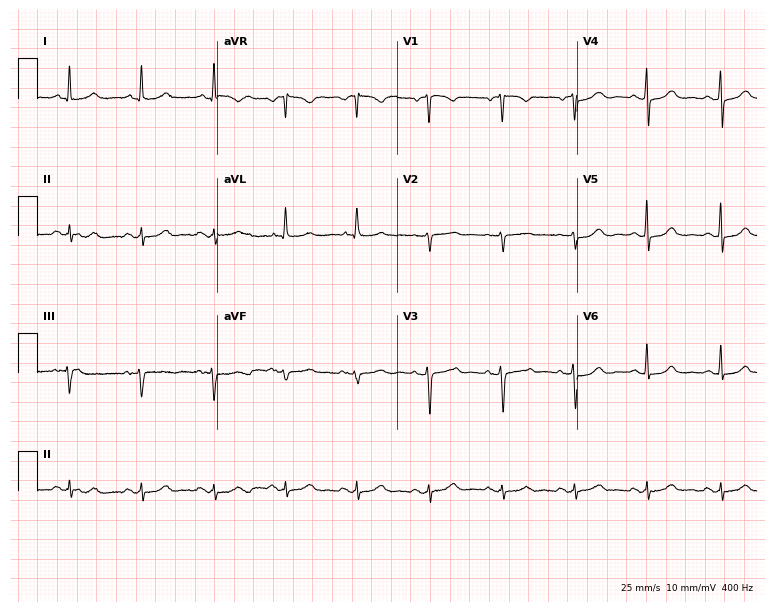
ECG (7.3-second recording at 400 Hz) — a female, 76 years old. Labelled as a normal ECG.